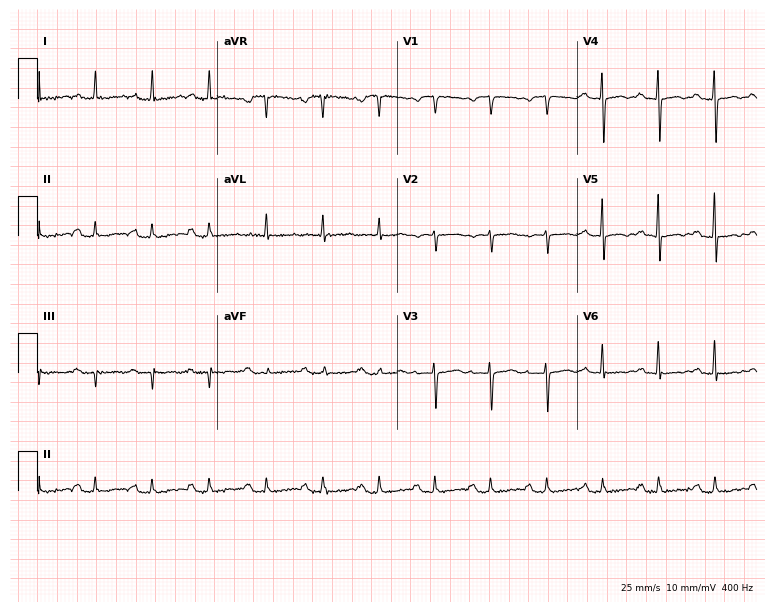
Electrocardiogram, a woman, 64 years old. Of the six screened findings (first-degree AV block, right bundle branch block (RBBB), left bundle branch block (LBBB), sinus bradycardia, atrial fibrillation (AF), sinus tachycardia), none is recorded. Other findings, if any, are not listed.